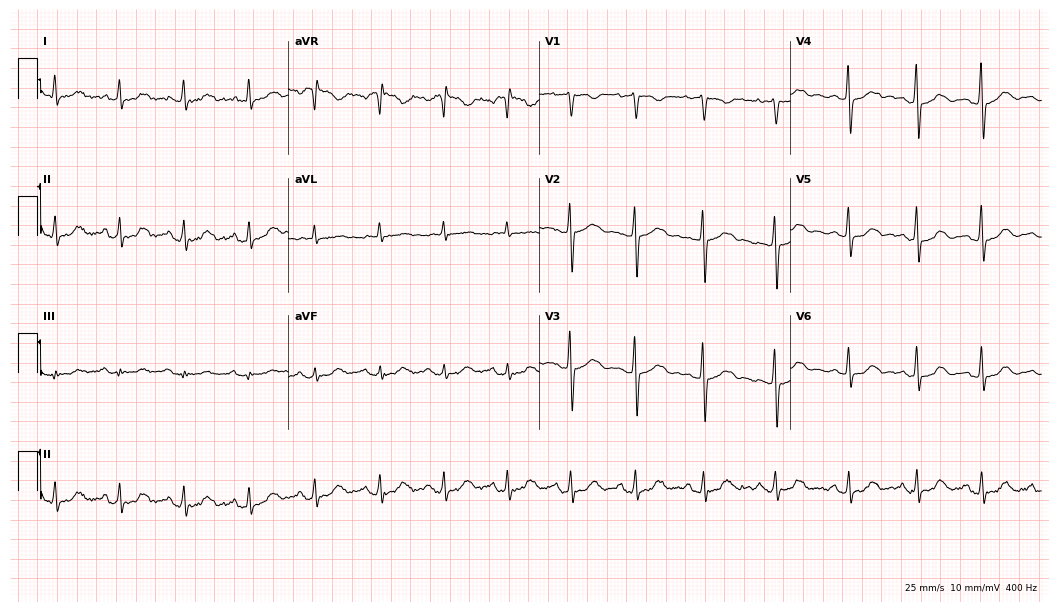
Resting 12-lead electrocardiogram. Patient: a 48-year-old female. Read as a normal ECG.